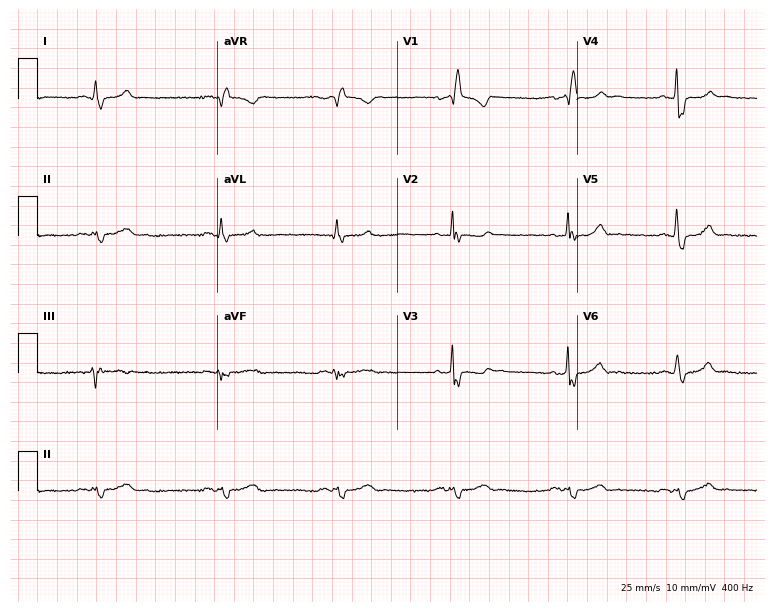
Standard 12-lead ECG recorded from a male, 65 years old. The tracing shows right bundle branch block (RBBB).